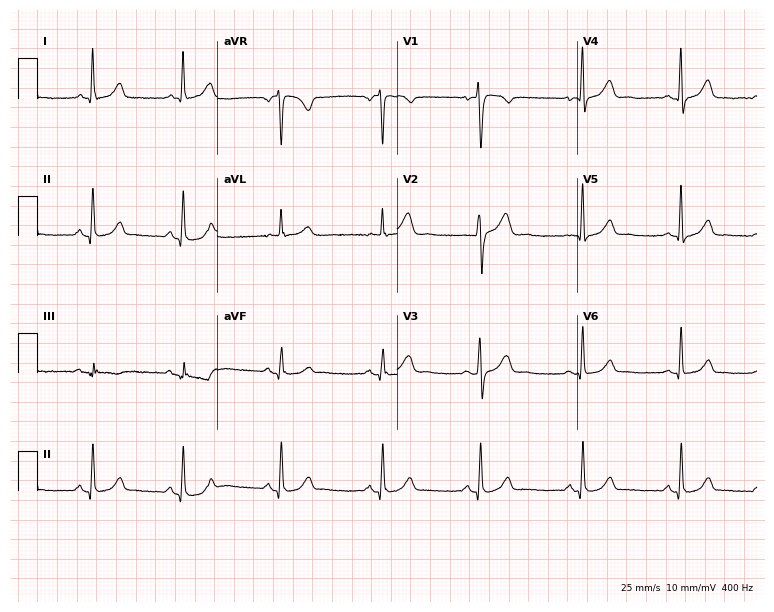
Standard 12-lead ECG recorded from a female, 43 years old. Read as a normal ECG.